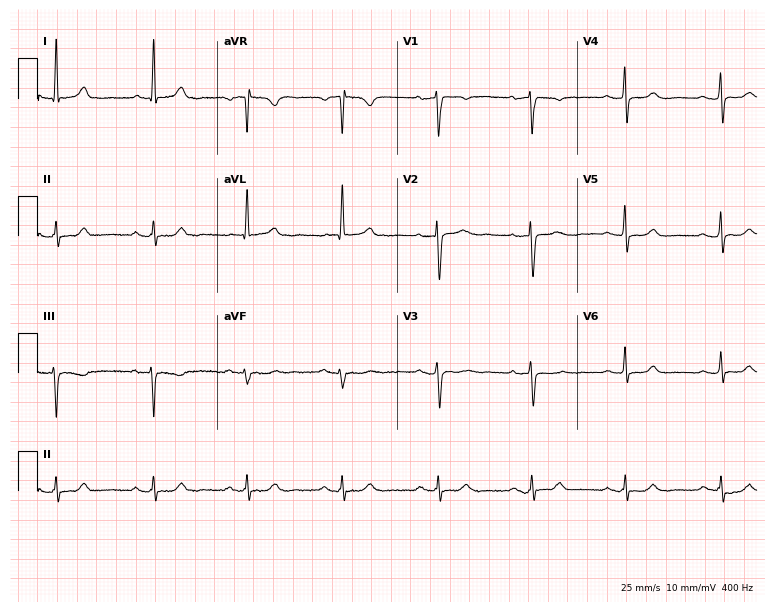
Resting 12-lead electrocardiogram. Patient: a 76-year-old female. None of these six findings is recorded: first-degree AV block, right bundle branch block, left bundle branch block, sinus bradycardia, atrial fibrillation, sinus tachycardia. Findings outside these six are not listed.